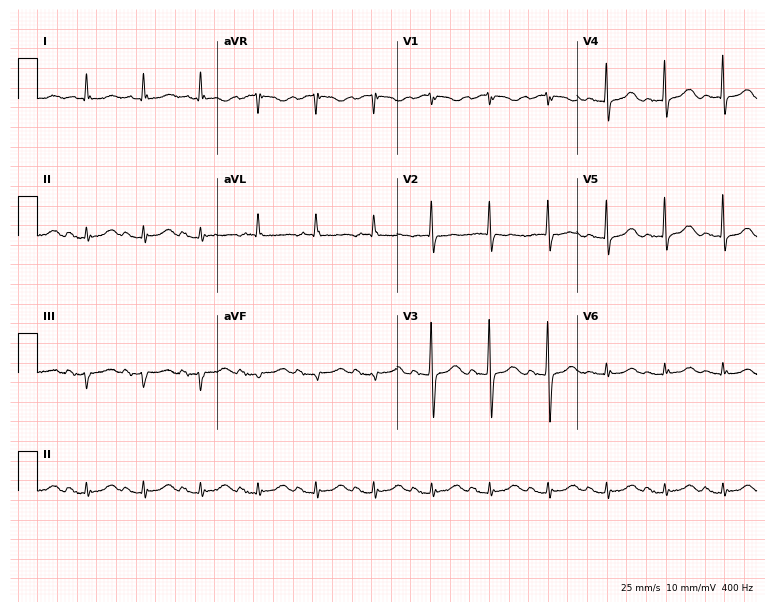
12-lead ECG (7.3-second recording at 400 Hz) from an 81-year-old female. Findings include sinus tachycardia (a sinus rate of 100 beats per minute or more).